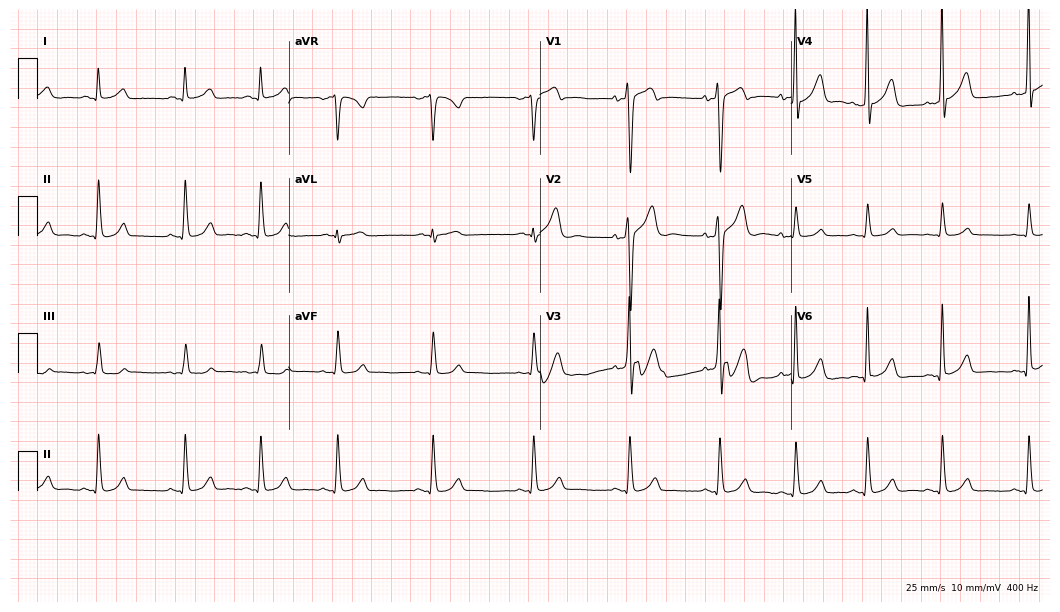
ECG (10.2-second recording at 400 Hz) — a 33-year-old man. Labelled as a normal ECG.